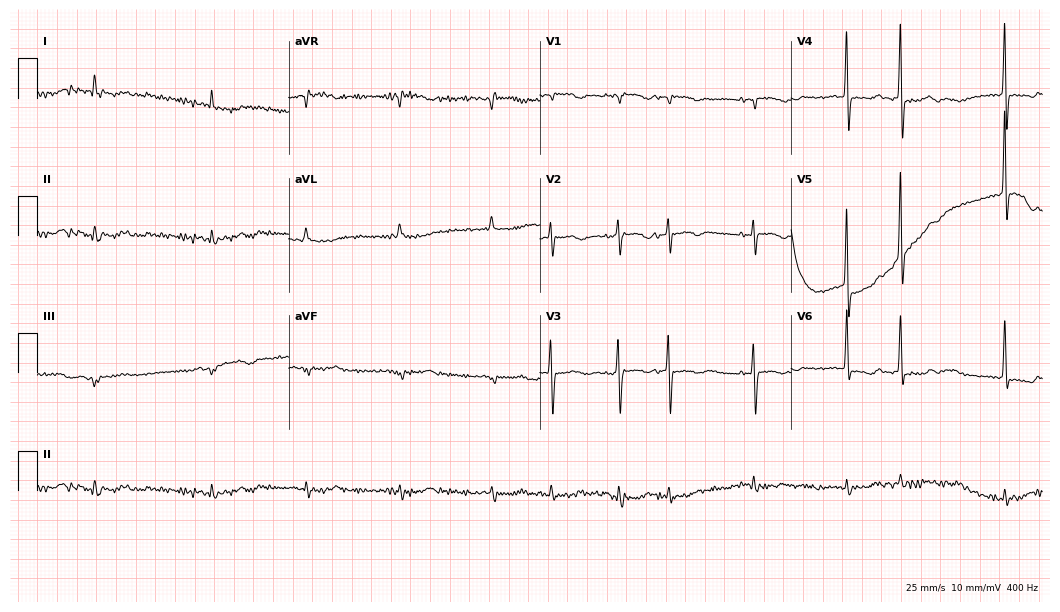
Resting 12-lead electrocardiogram. Patient: a female, 77 years old. None of these six findings is recorded: first-degree AV block, right bundle branch block, left bundle branch block, sinus bradycardia, atrial fibrillation, sinus tachycardia. Only these six findings were labelled.